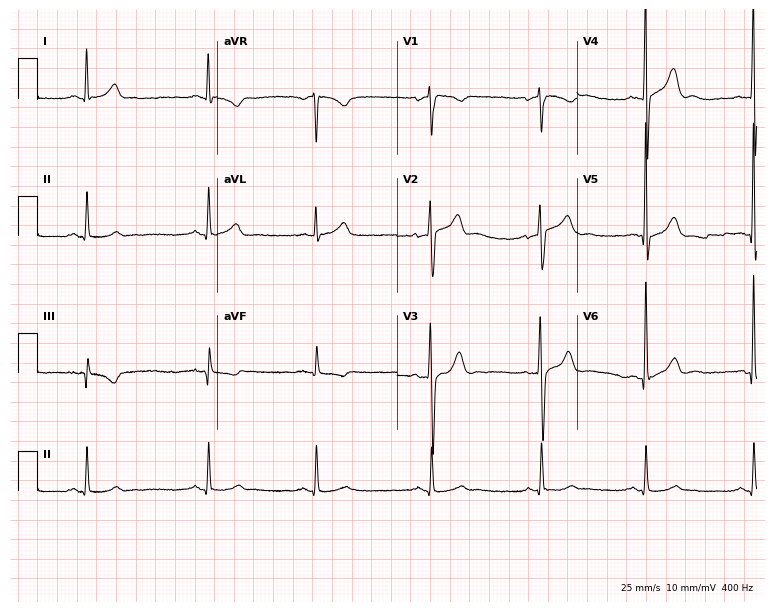
12-lead ECG from a 59-year-old male patient. No first-degree AV block, right bundle branch block, left bundle branch block, sinus bradycardia, atrial fibrillation or sinus tachycardia recorded for this tracing. Other findings, if any, are not listed.